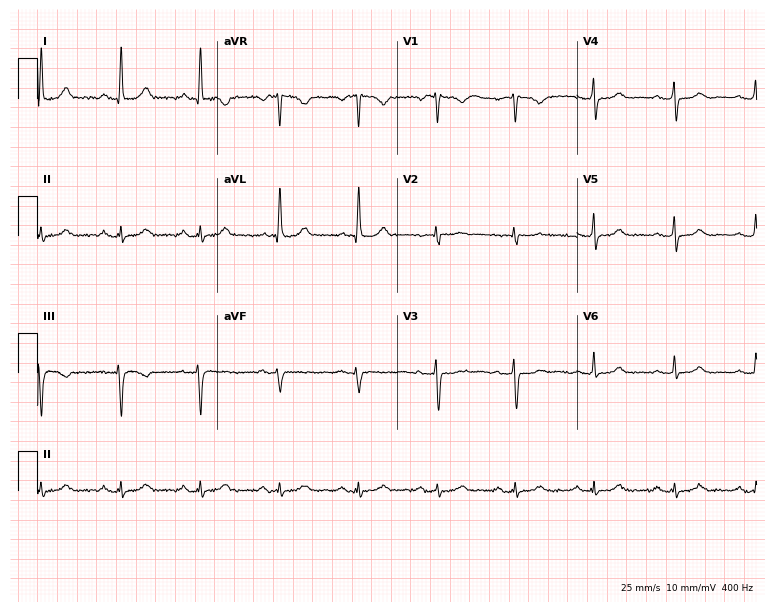
Resting 12-lead electrocardiogram (7.3-second recording at 400 Hz). Patient: a 58-year-old female. Read as a normal ECG.